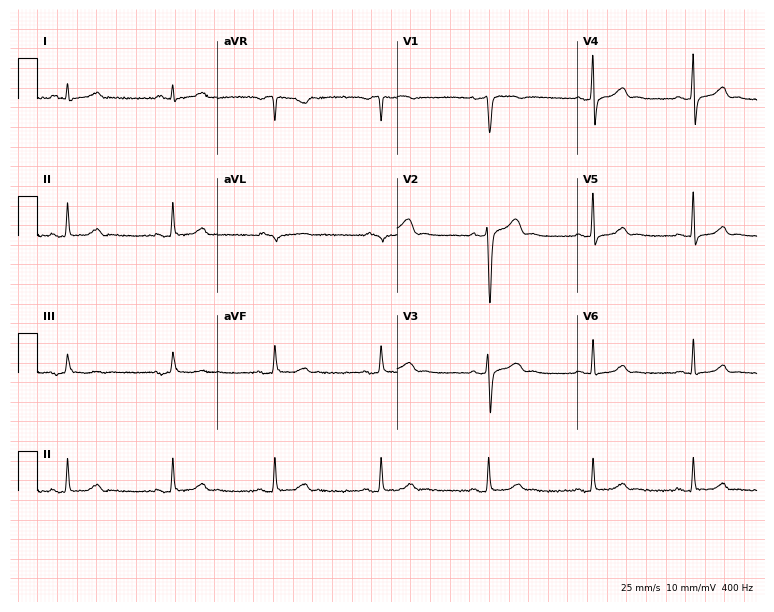
Electrocardiogram (7.3-second recording at 400 Hz), a male, 48 years old. Overall reading on record: normal ECG.